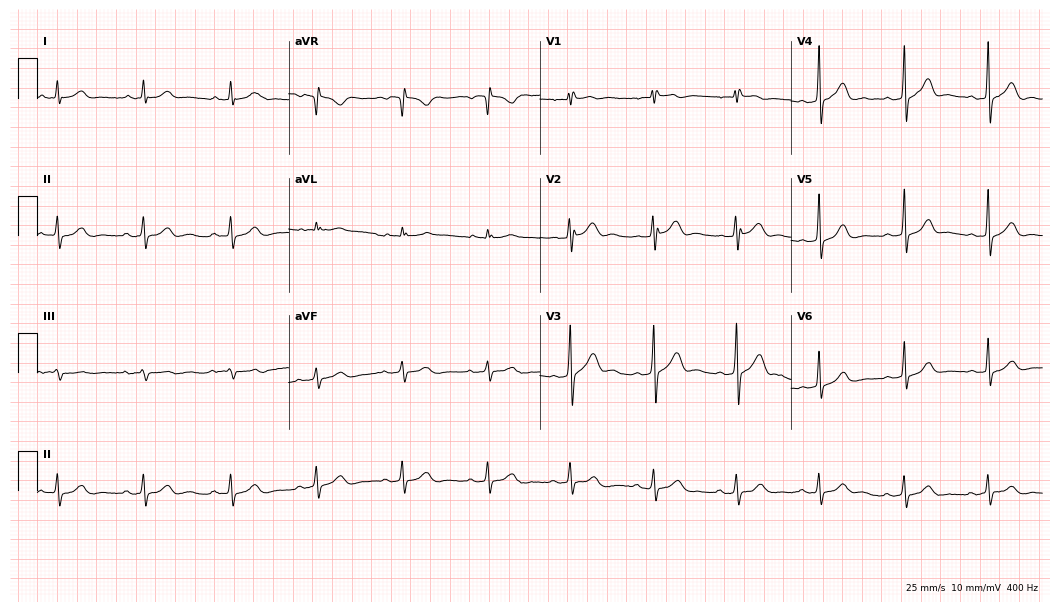
12-lead ECG (10.2-second recording at 400 Hz) from a 31-year-old man. Labelled as a normal ECG.